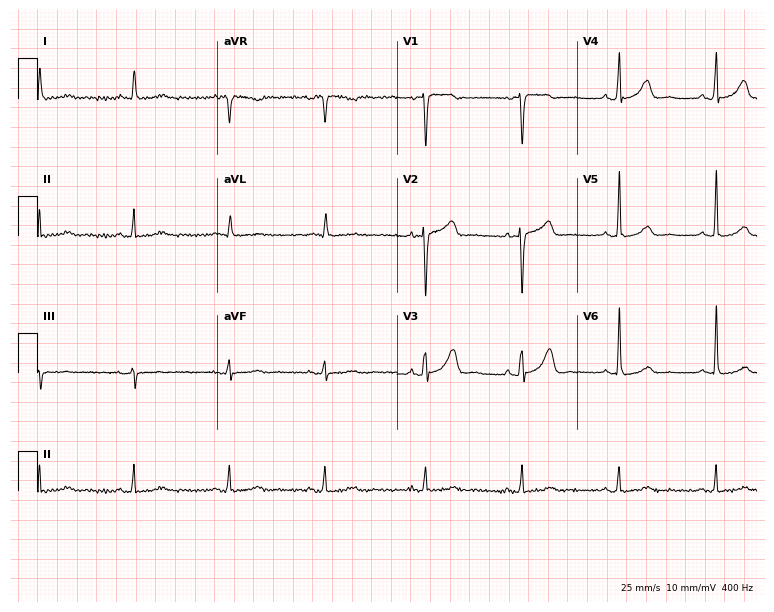
Resting 12-lead electrocardiogram (7.3-second recording at 400 Hz). Patient: a 73-year-old woman. None of these six findings is recorded: first-degree AV block, right bundle branch block, left bundle branch block, sinus bradycardia, atrial fibrillation, sinus tachycardia.